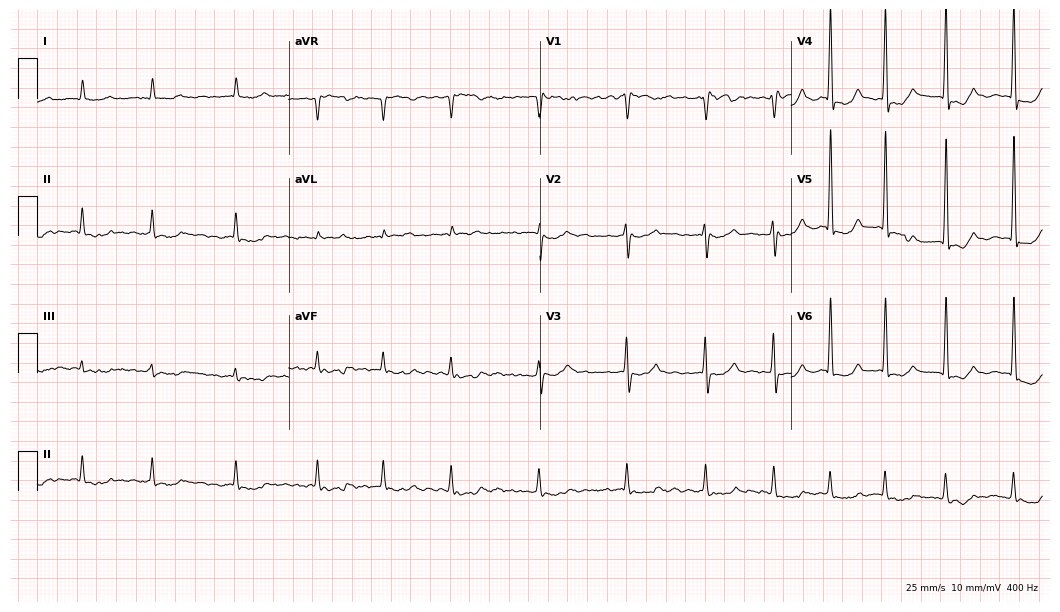
Standard 12-lead ECG recorded from an 84-year-old male patient (10.2-second recording at 400 Hz). The tracing shows atrial fibrillation.